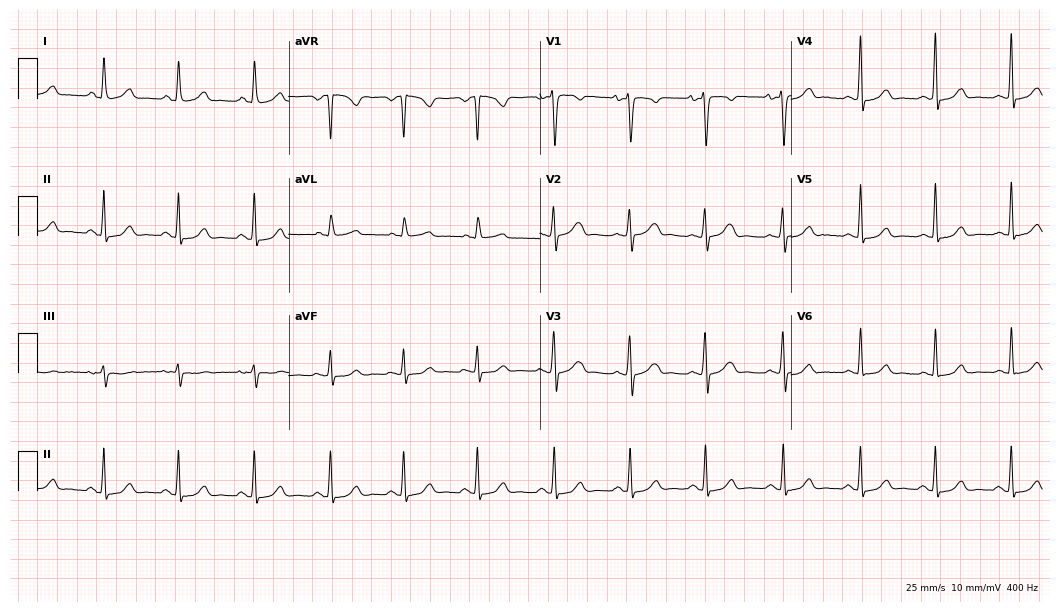
Resting 12-lead electrocardiogram. Patient: a 26-year-old female. Read as a normal ECG.